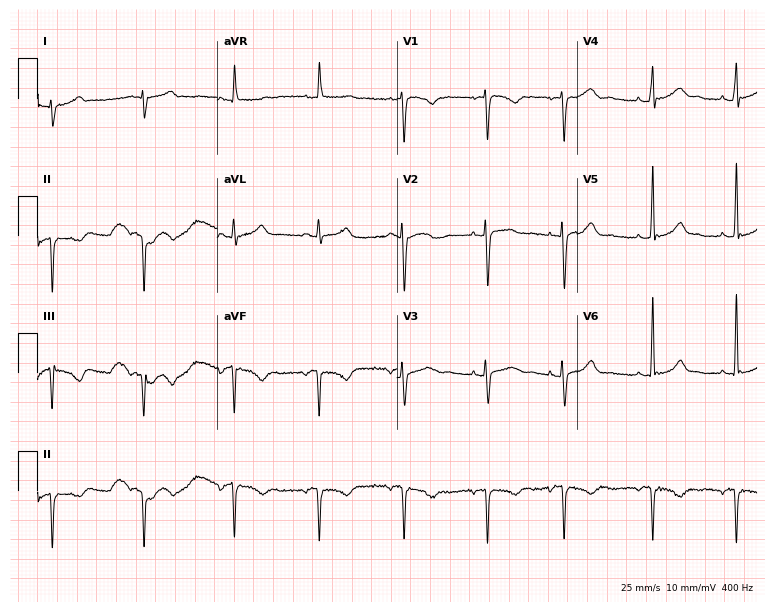
12-lead ECG (7.3-second recording at 400 Hz) from a 29-year-old female patient. Screened for six findings — first-degree AV block, right bundle branch block, left bundle branch block, sinus bradycardia, atrial fibrillation, sinus tachycardia — none is recorded. Other findings, if any, are not listed.